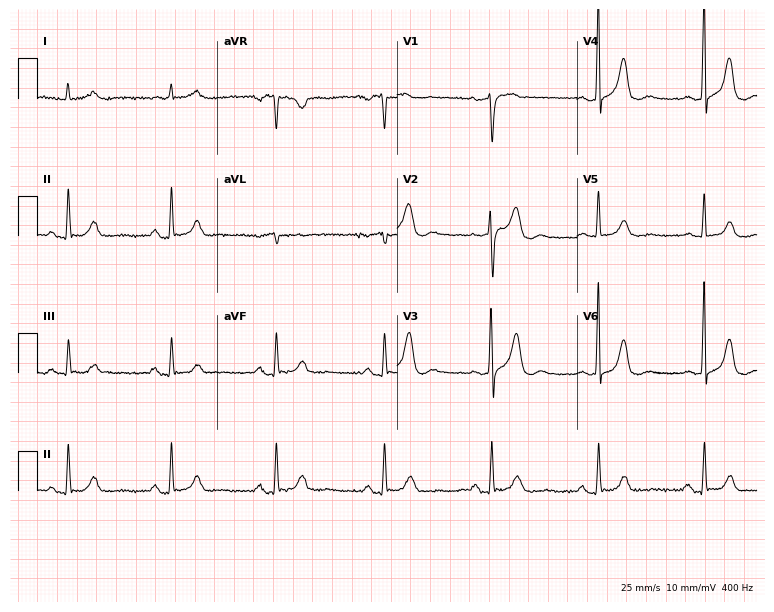
Electrocardiogram (7.3-second recording at 400 Hz), a male, 71 years old. Overall reading on record: normal ECG.